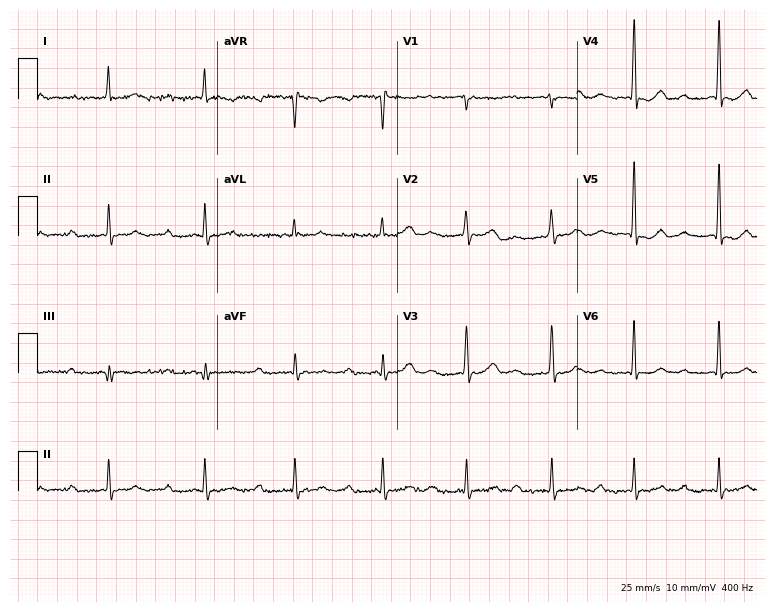
ECG — a 48-year-old female. Screened for six findings — first-degree AV block, right bundle branch block, left bundle branch block, sinus bradycardia, atrial fibrillation, sinus tachycardia — none is recorded.